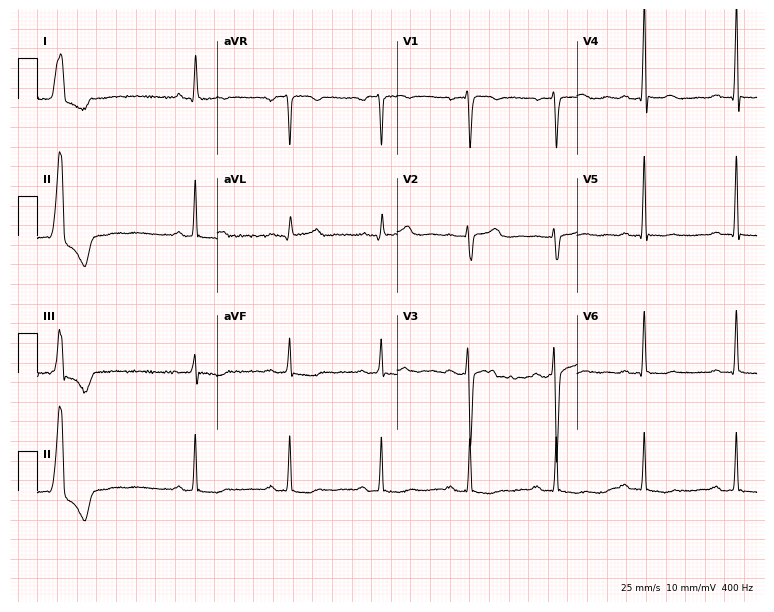
Resting 12-lead electrocardiogram (7.3-second recording at 400 Hz). Patient: a female, 33 years old. Read as a normal ECG.